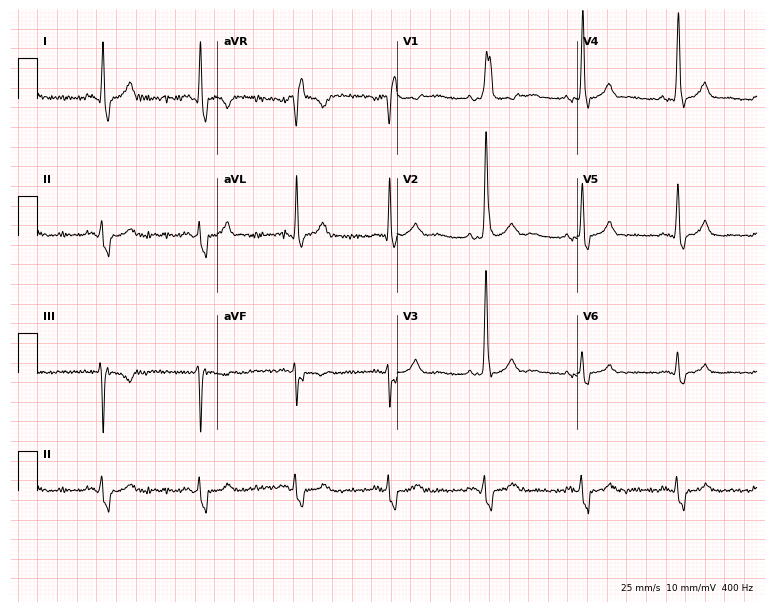
Standard 12-lead ECG recorded from a 59-year-old male patient (7.3-second recording at 400 Hz). The tracing shows right bundle branch block.